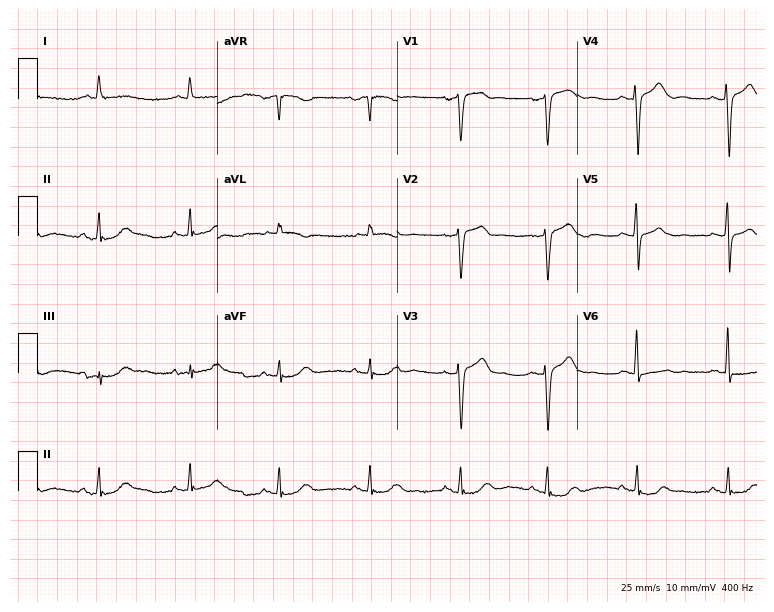
12-lead ECG from a male, 81 years old. No first-degree AV block, right bundle branch block (RBBB), left bundle branch block (LBBB), sinus bradycardia, atrial fibrillation (AF) or sinus tachycardia recorded for this tracing.